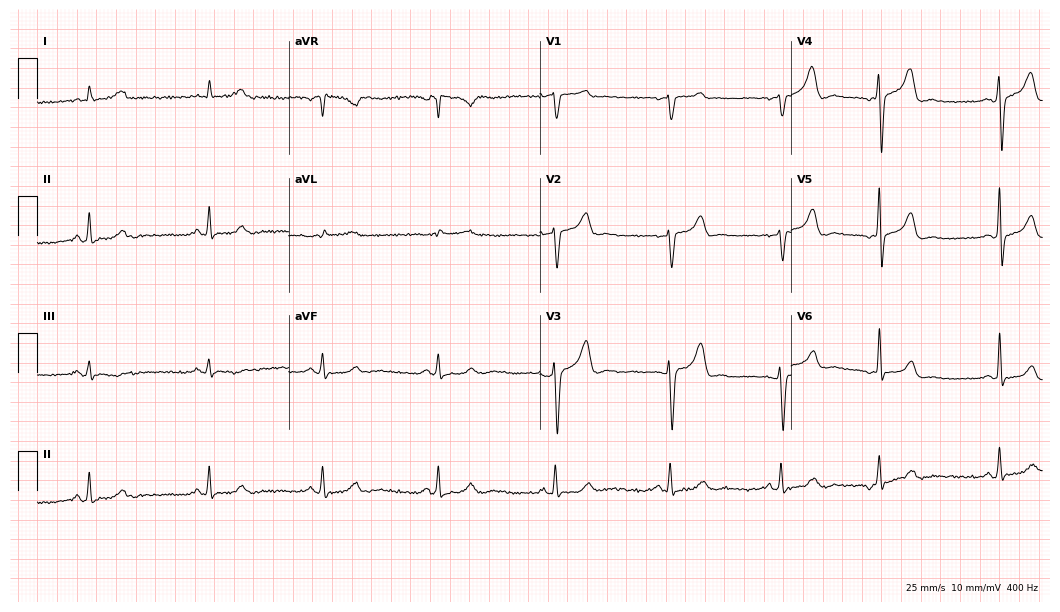
ECG (10.2-second recording at 400 Hz) — a 46-year-old man. Labelled as a normal ECG.